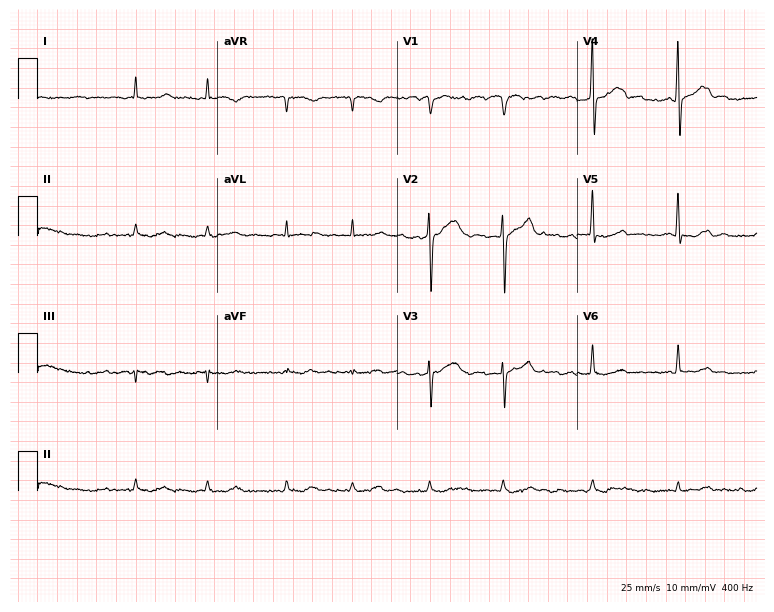
ECG (7.3-second recording at 400 Hz) — a 64-year-old male patient. Findings include atrial fibrillation (AF).